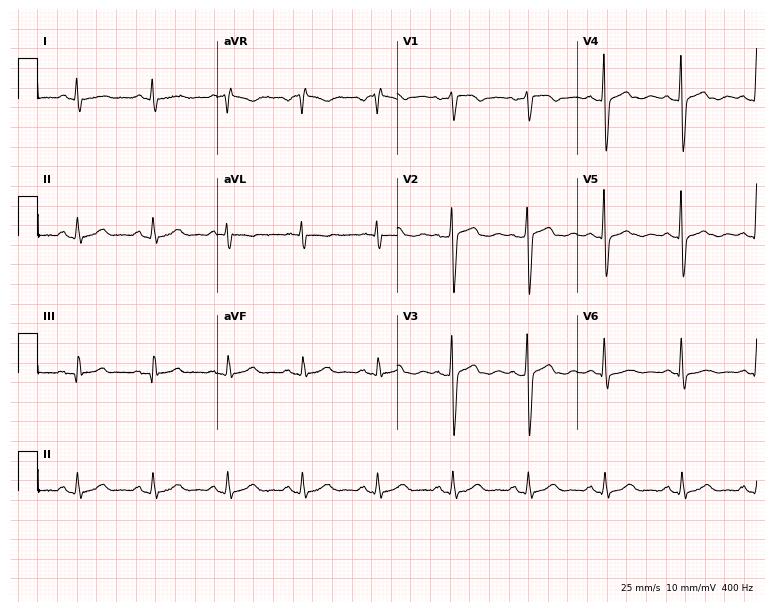
12-lead ECG from a 51-year-old female patient. Screened for six findings — first-degree AV block, right bundle branch block, left bundle branch block, sinus bradycardia, atrial fibrillation, sinus tachycardia — none is recorded.